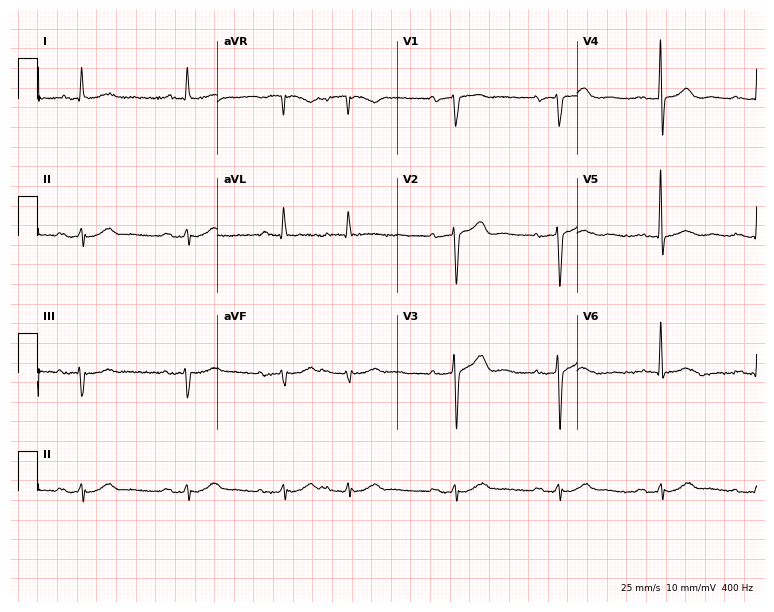
12-lead ECG from an 83-year-old man. Shows first-degree AV block.